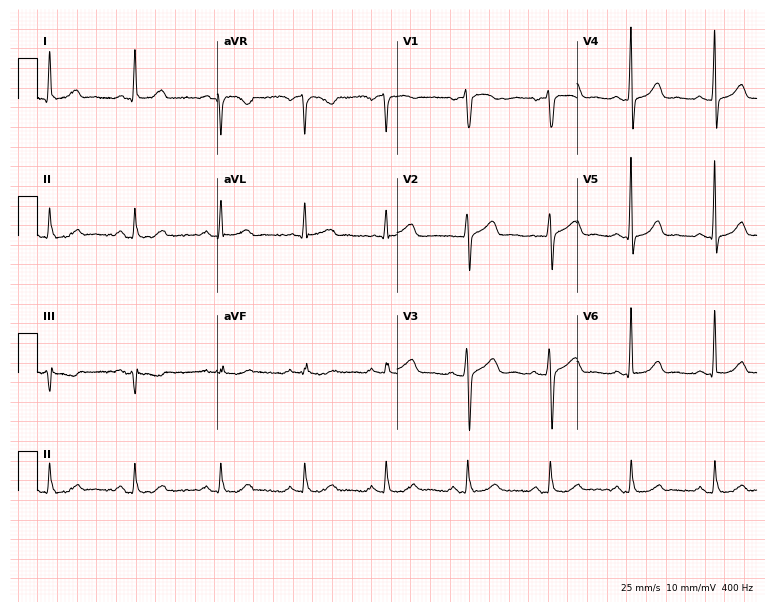
12-lead ECG from a female patient, 44 years old (7.3-second recording at 400 Hz). Recorded interpretation: within normal limits.